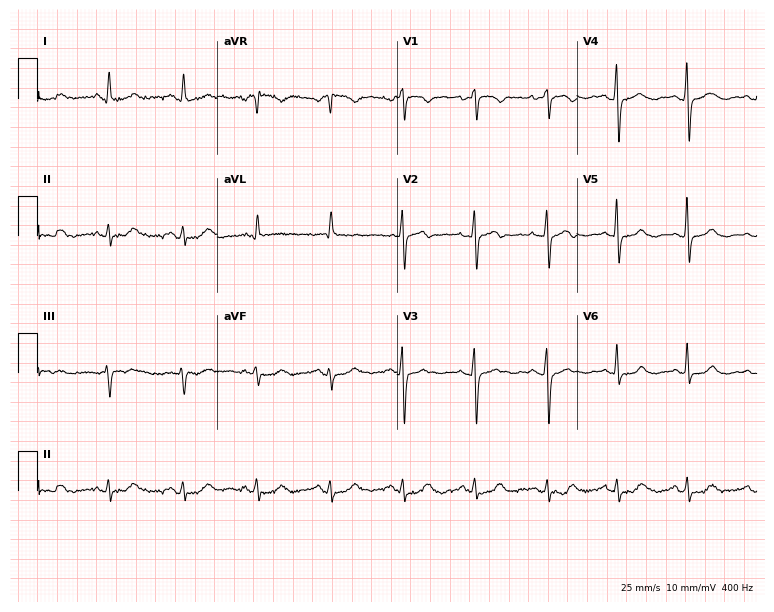
12-lead ECG from a woman, 61 years old. Recorded interpretation: within normal limits.